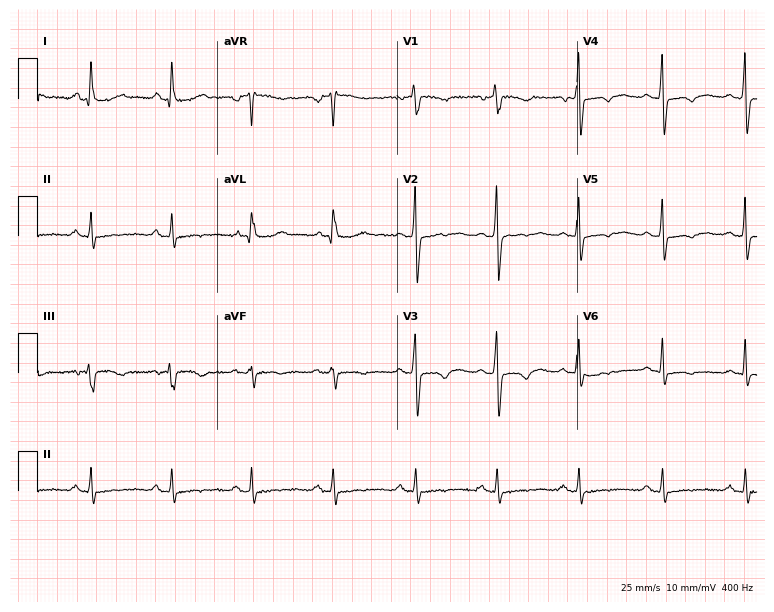
12-lead ECG (7.3-second recording at 400 Hz) from a female patient, 46 years old. Screened for six findings — first-degree AV block, right bundle branch block (RBBB), left bundle branch block (LBBB), sinus bradycardia, atrial fibrillation (AF), sinus tachycardia — none is recorded.